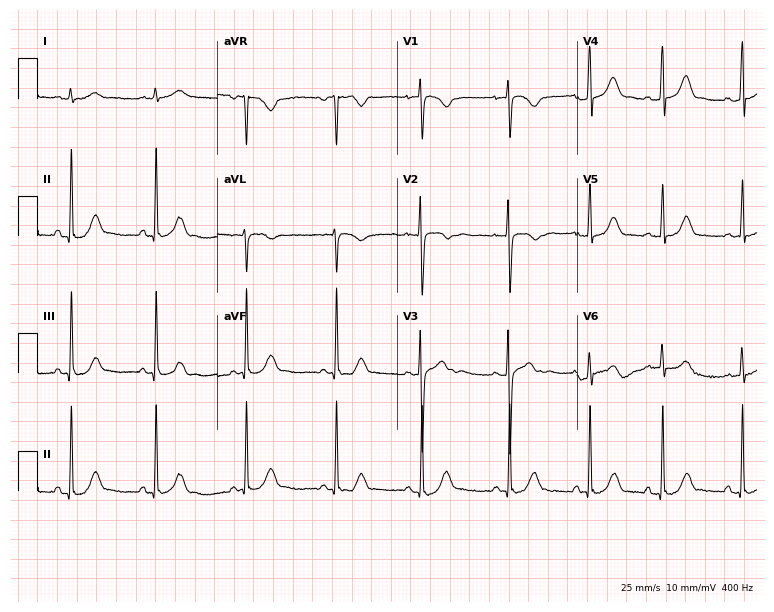
Resting 12-lead electrocardiogram. Patient: an 18-year-old female. Read as a normal ECG.